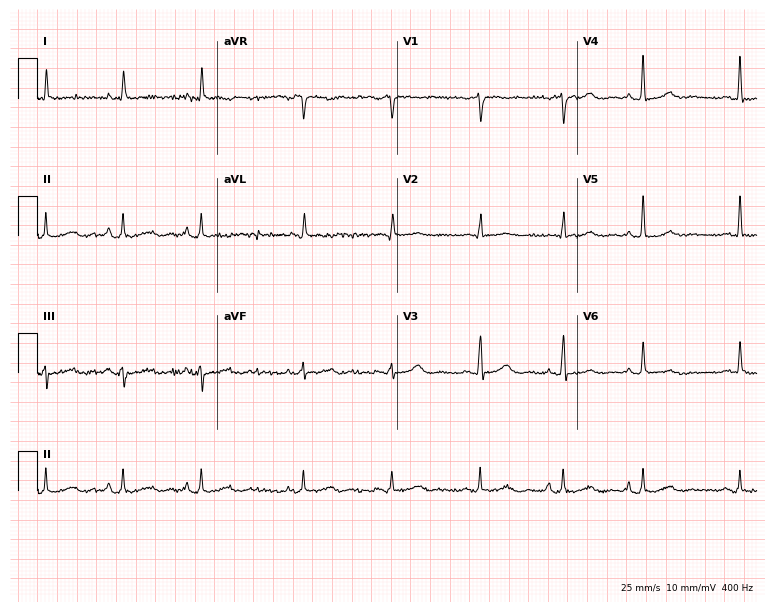
ECG (7.3-second recording at 400 Hz) — a woman, 82 years old. Screened for six findings — first-degree AV block, right bundle branch block, left bundle branch block, sinus bradycardia, atrial fibrillation, sinus tachycardia — none is recorded.